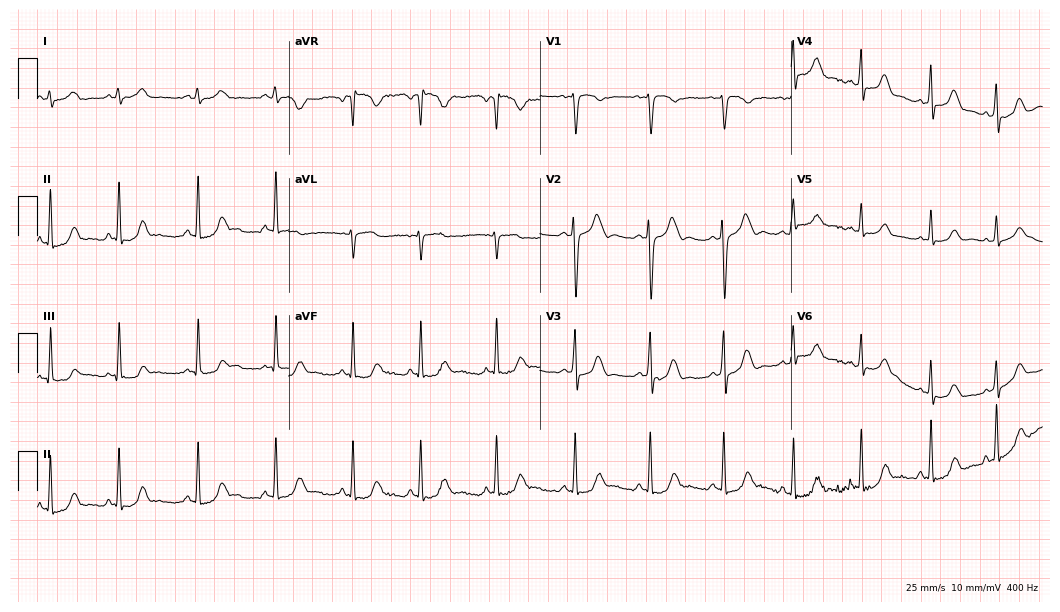
12-lead ECG (10.2-second recording at 400 Hz) from a 29-year-old female. Labelled as a normal ECG.